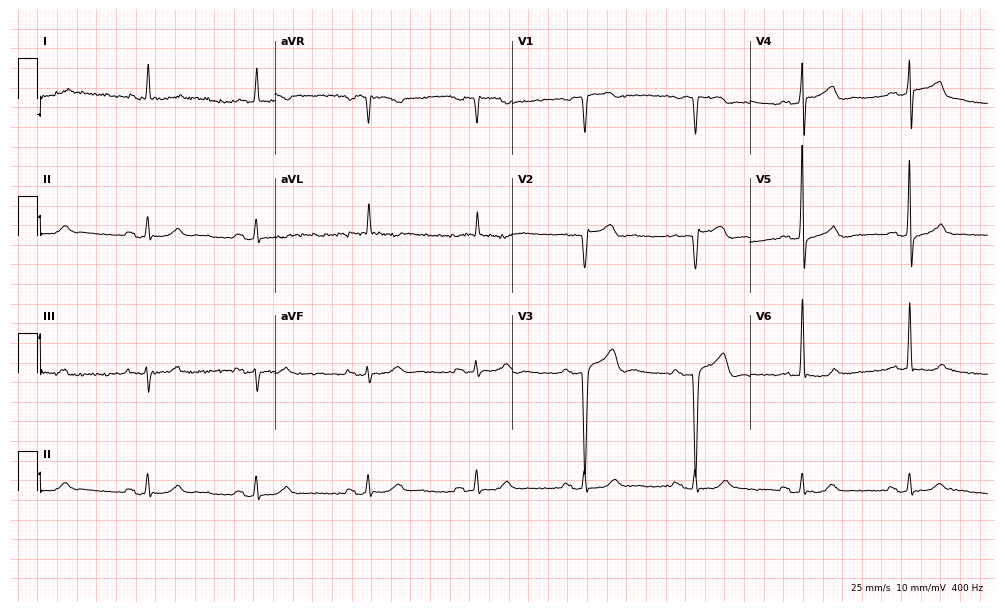
Standard 12-lead ECG recorded from a male patient, 73 years old (9.7-second recording at 400 Hz). None of these six findings is recorded: first-degree AV block, right bundle branch block (RBBB), left bundle branch block (LBBB), sinus bradycardia, atrial fibrillation (AF), sinus tachycardia.